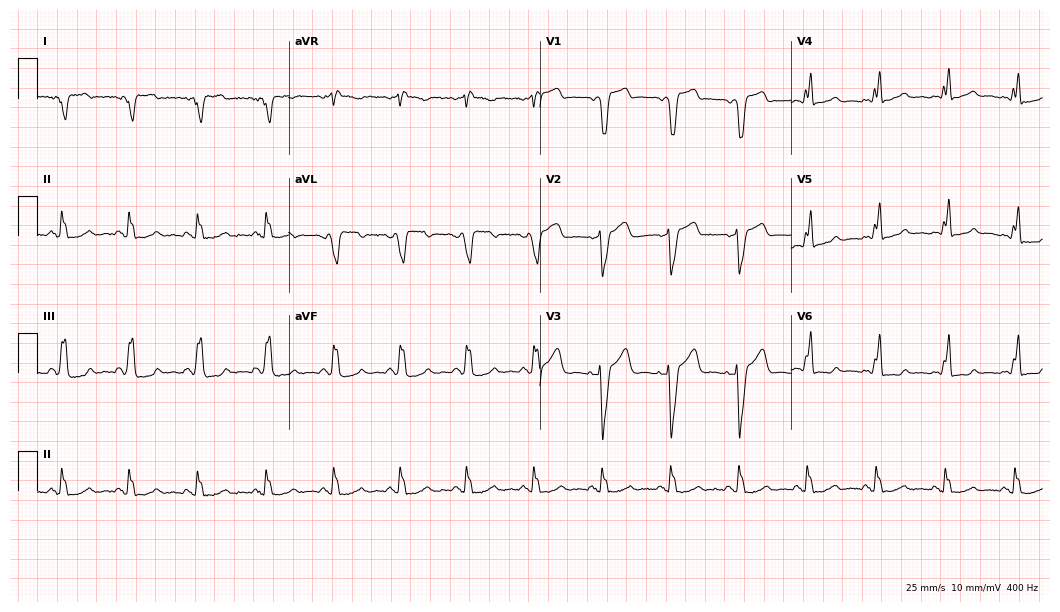
ECG — a 70-year-old male. Screened for six findings — first-degree AV block, right bundle branch block, left bundle branch block, sinus bradycardia, atrial fibrillation, sinus tachycardia — none is recorded.